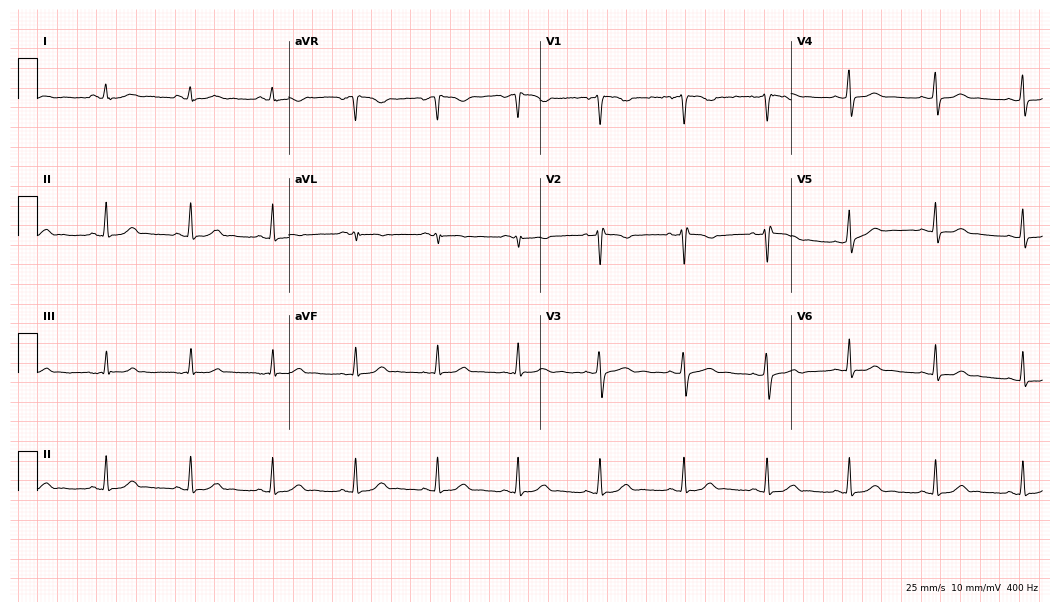
Electrocardiogram, a 37-year-old female patient. Overall reading on record: normal ECG.